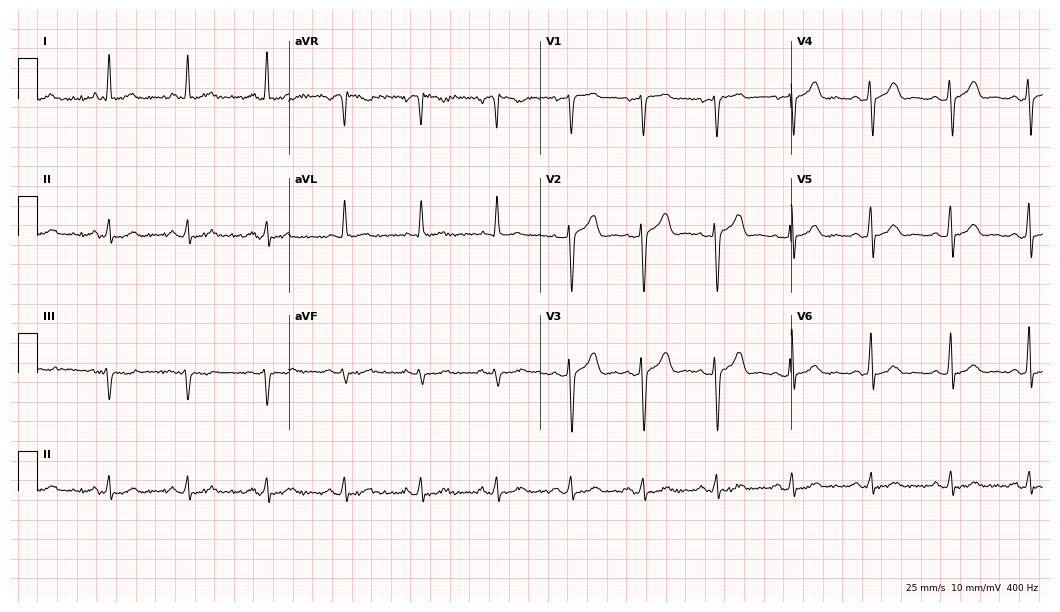
12-lead ECG from a male patient, 56 years old. Recorded interpretation: within normal limits.